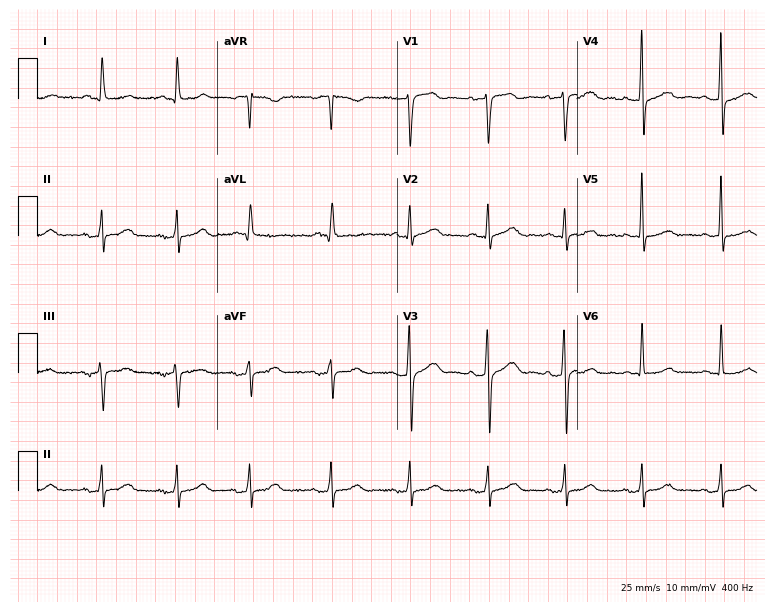
Standard 12-lead ECG recorded from a male, 78 years old. Read as a normal ECG.